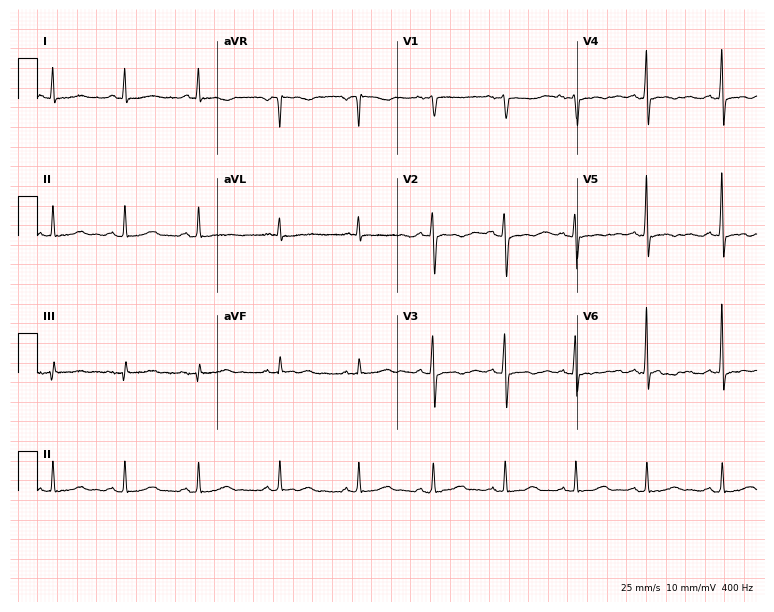
12-lead ECG from a female, 69 years old (7.3-second recording at 400 Hz). No first-degree AV block, right bundle branch block, left bundle branch block, sinus bradycardia, atrial fibrillation or sinus tachycardia recorded for this tracing. Findings outside these six are not listed.